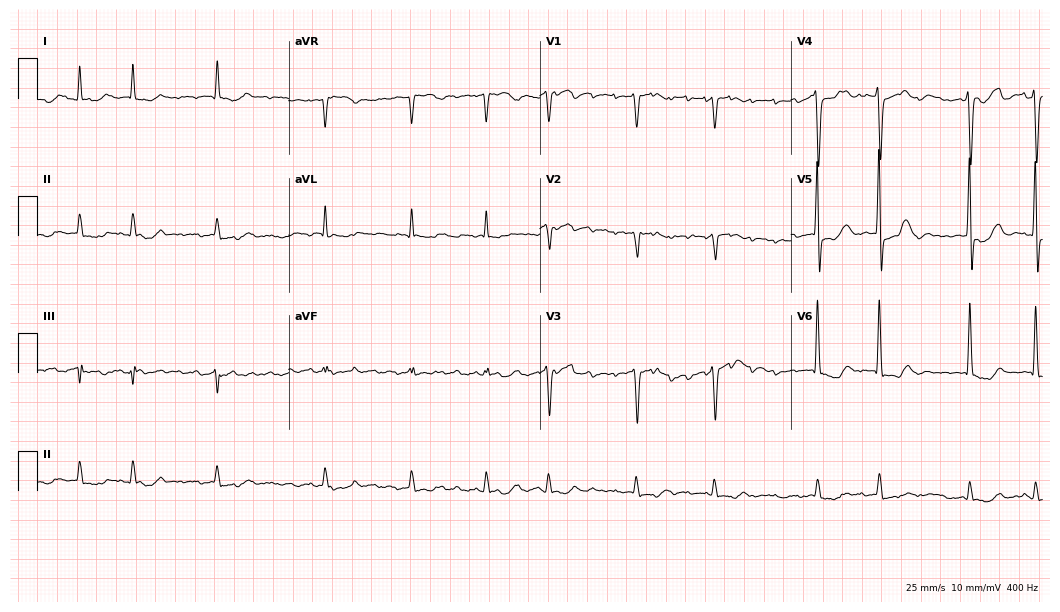
Standard 12-lead ECG recorded from a man, 72 years old (10.2-second recording at 400 Hz). None of these six findings is recorded: first-degree AV block, right bundle branch block, left bundle branch block, sinus bradycardia, atrial fibrillation, sinus tachycardia.